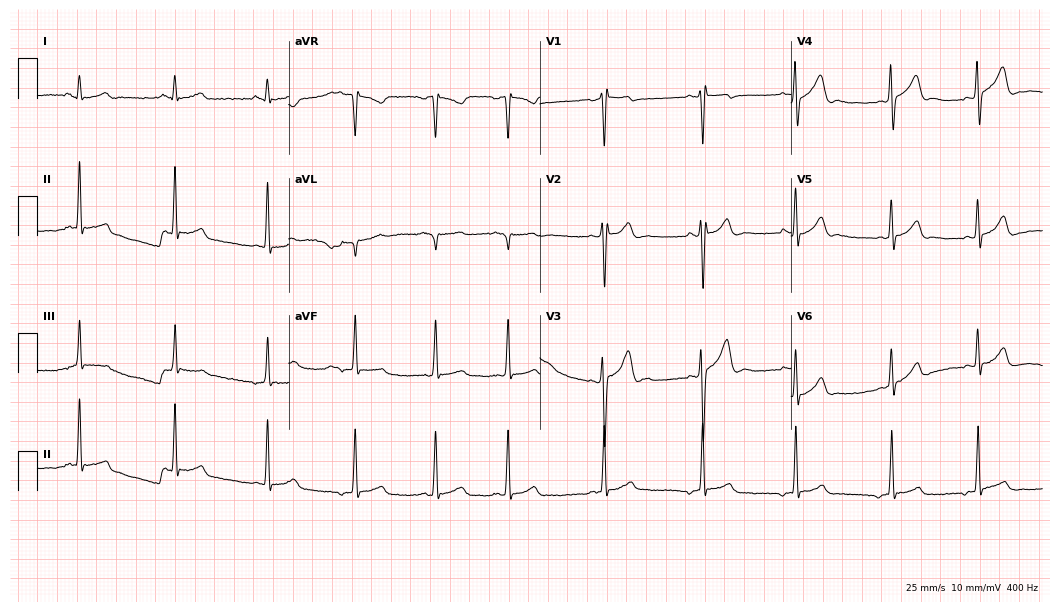
Resting 12-lead electrocardiogram (10.2-second recording at 400 Hz). Patient: a 17-year-old man. None of these six findings is recorded: first-degree AV block, right bundle branch block, left bundle branch block, sinus bradycardia, atrial fibrillation, sinus tachycardia.